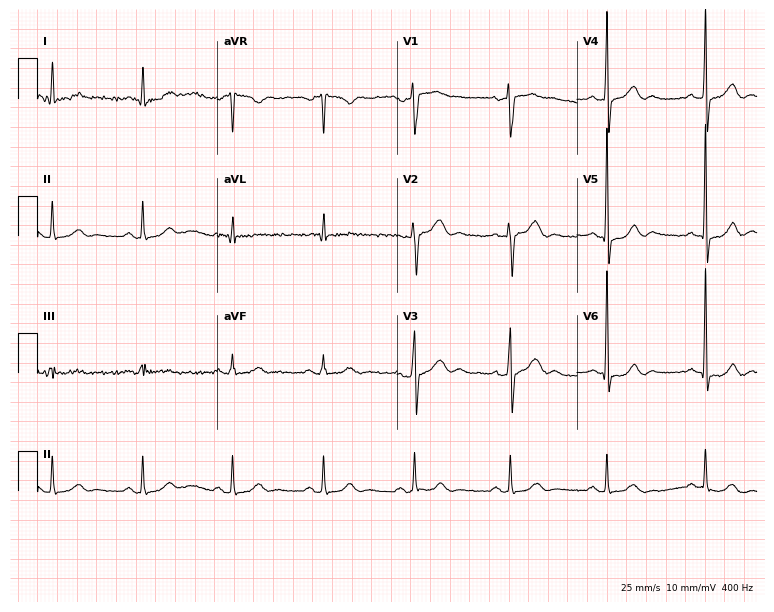
Resting 12-lead electrocardiogram (7.3-second recording at 400 Hz). Patient: a 53-year-old male. None of these six findings is recorded: first-degree AV block, right bundle branch block, left bundle branch block, sinus bradycardia, atrial fibrillation, sinus tachycardia. Only these six findings were labelled.